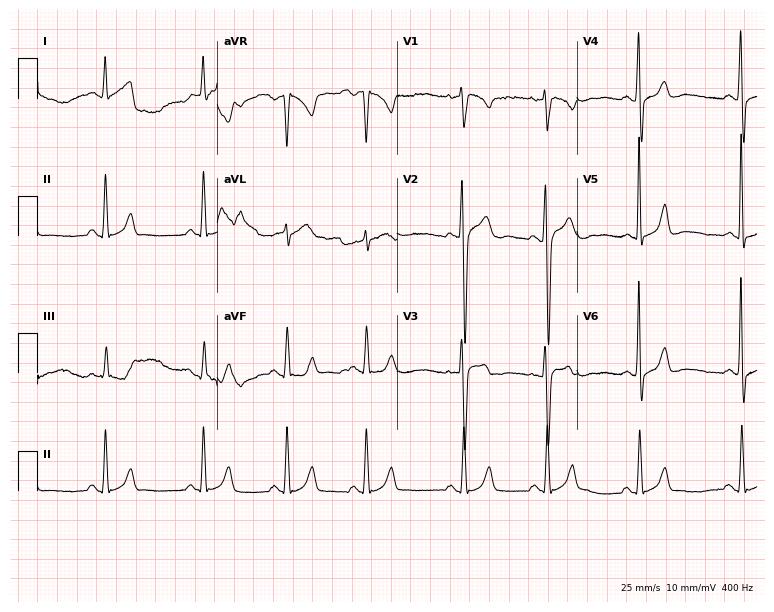
ECG — a 21-year-old man. Screened for six findings — first-degree AV block, right bundle branch block, left bundle branch block, sinus bradycardia, atrial fibrillation, sinus tachycardia — none is recorded.